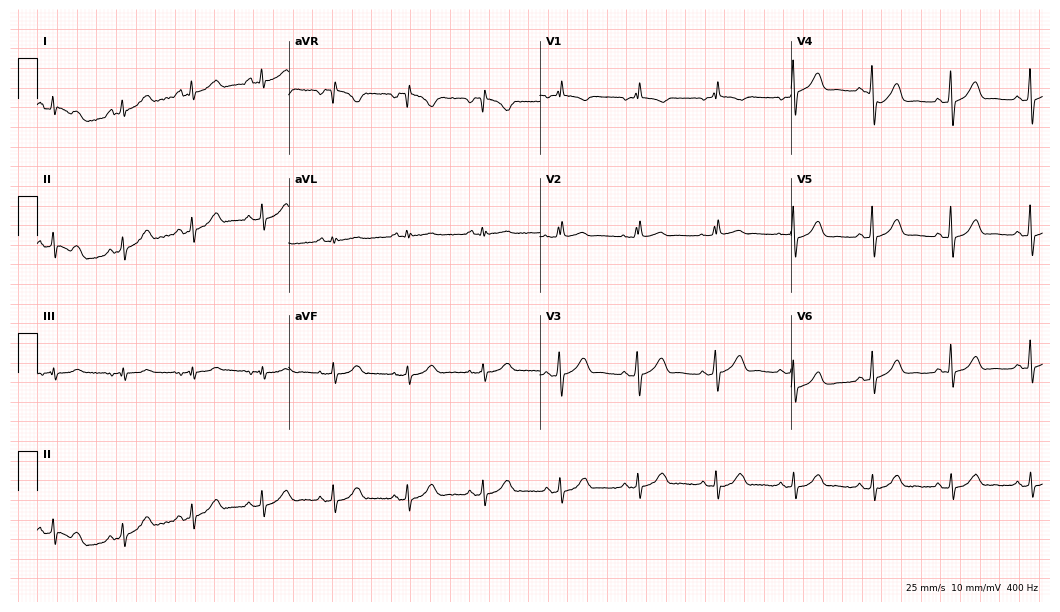
ECG (10.2-second recording at 400 Hz) — a 71-year-old female patient. Labelled as a normal ECG.